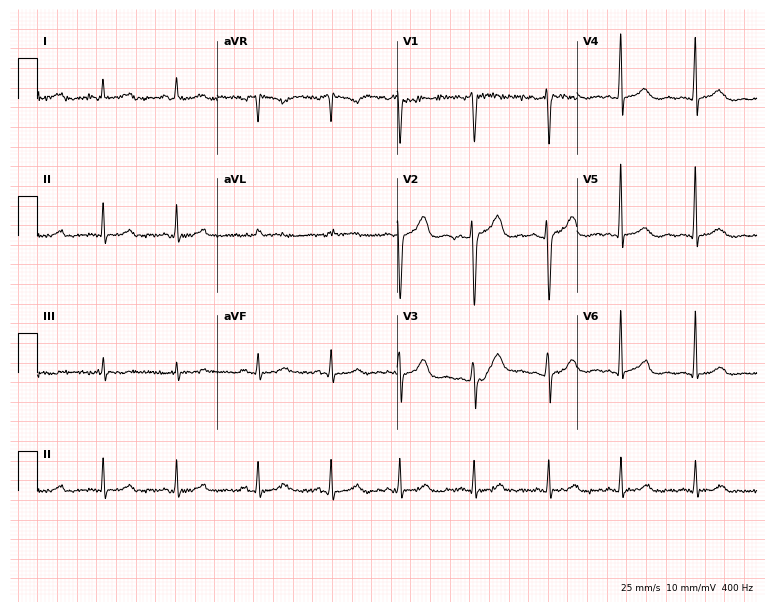
ECG (7.3-second recording at 400 Hz) — a female patient, 36 years old. Labelled as a normal ECG.